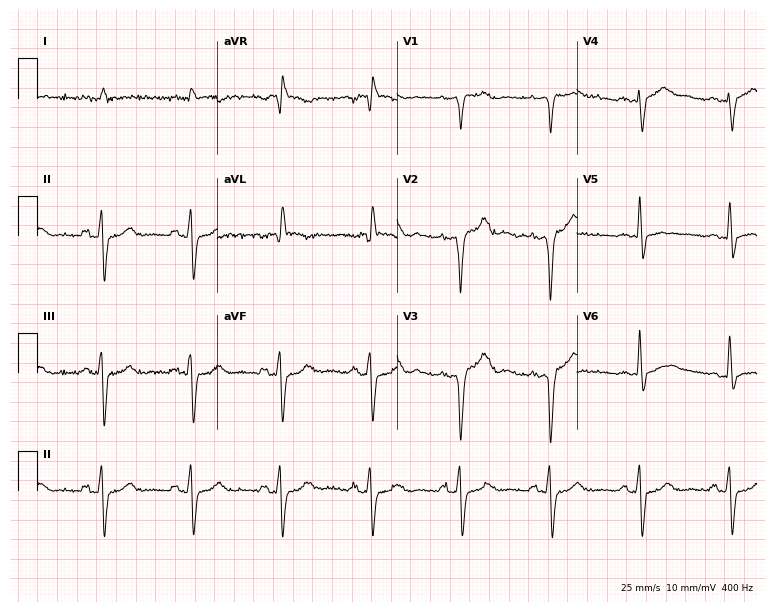
Resting 12-lead electrocardiogram. Patient: an 84-year-old male. None of these six findings is recorded: first-degree AV block, right bundle branch block (RBBB), left bundle branch block (LBBB), sinus bradycardia, atrial fibrillation (AF), sinus tachycardia. Only these six findings were labelled.